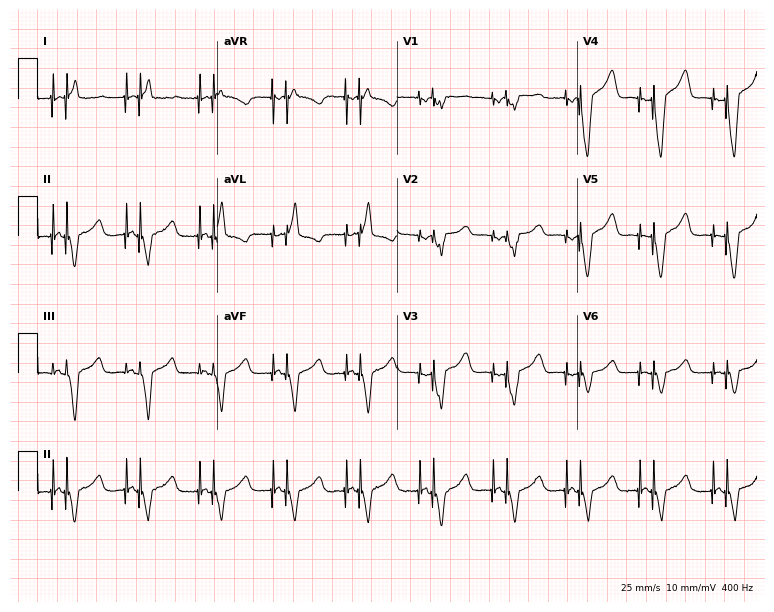
Electrocardiogram (7.3-second recording at 400 Hz), a 60-year-old woman. Of the six screened findings (first-degree AV block, right bundle branch block (RBBB), left bundle branch block (LBBB), sinus bradycardia, atrial fibrillation (AF), sinus tachycardia), none is recorded.